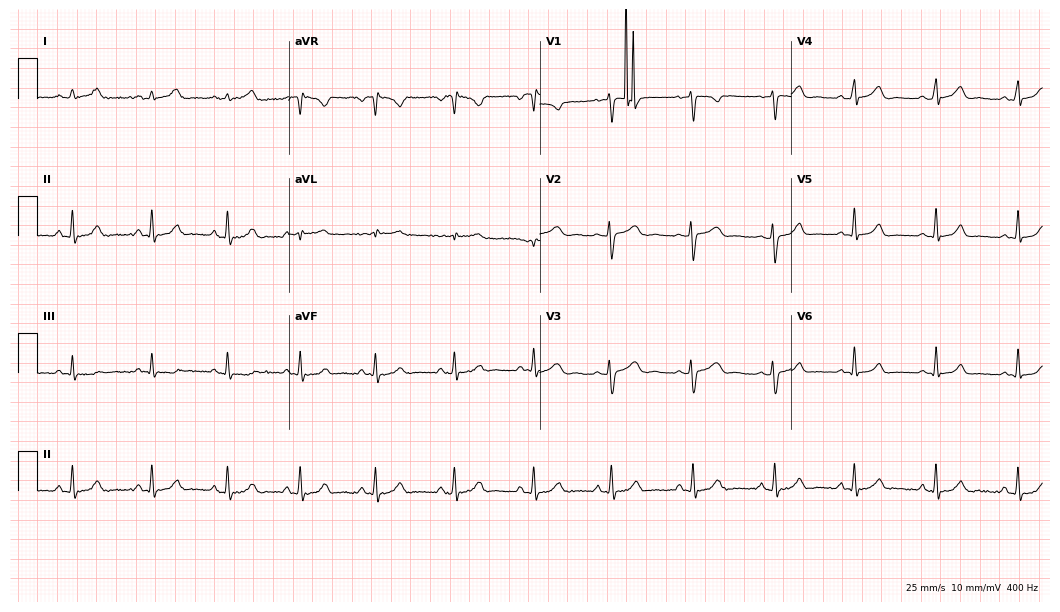
ECG (10.2-second recording at 400 Hz) — a female, 21 years old. Screened for six findings — first-degree AV block, right bundle branch block (RBBB), left bundle branch block (LBBB), sinus bradycardia, atrial fibrillation (AF), sinus tachycardia — none is recorded. Other findings, if any, are not listed.